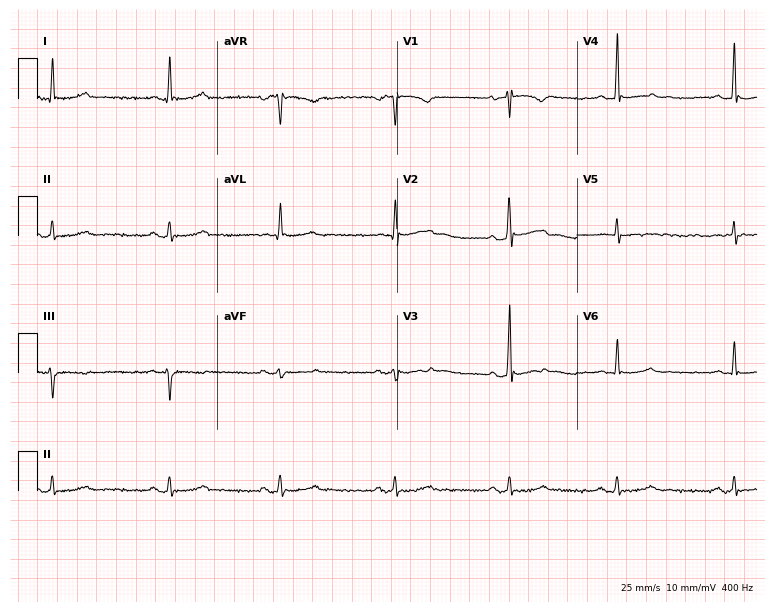
Standard 12-lead ECG recorded from a 64-year-old man (7.3-second recording at 400 Hz). Read as a normal ECG.